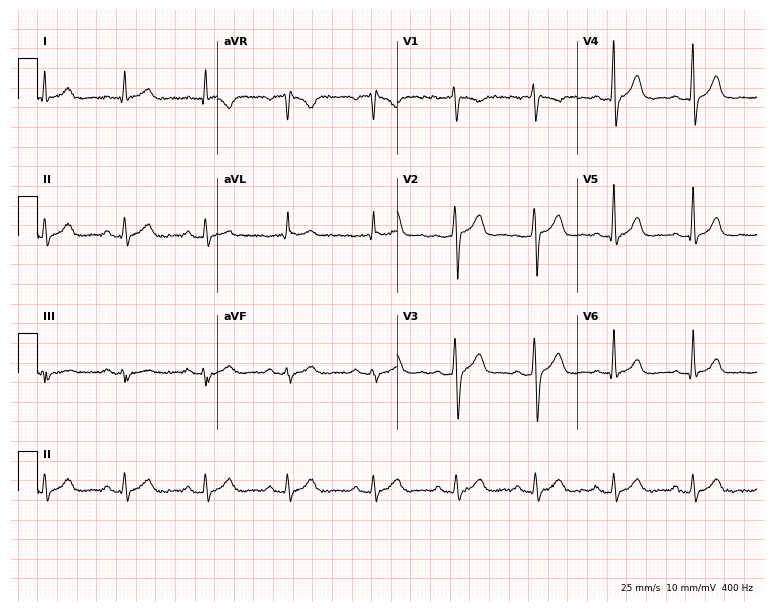
12-lead ECG (7.3-second recording at 400 Hz) from a man, 43 years old. Labelled as a normal ECG.